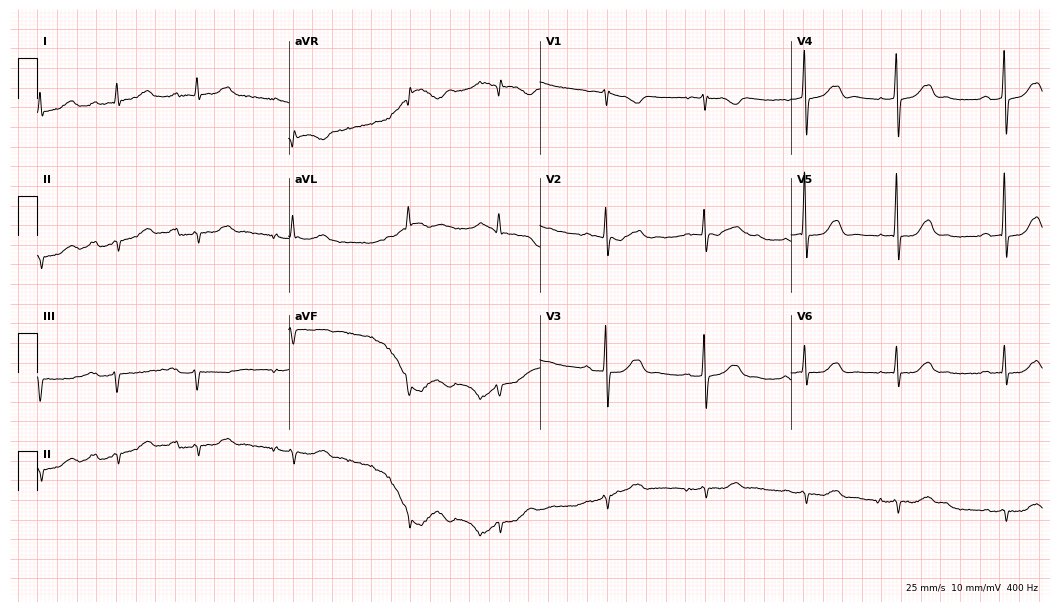
12-lead ECG from a male, 83 years old (10.2-second recording at 400 Hz). Shows first-degree AV block.